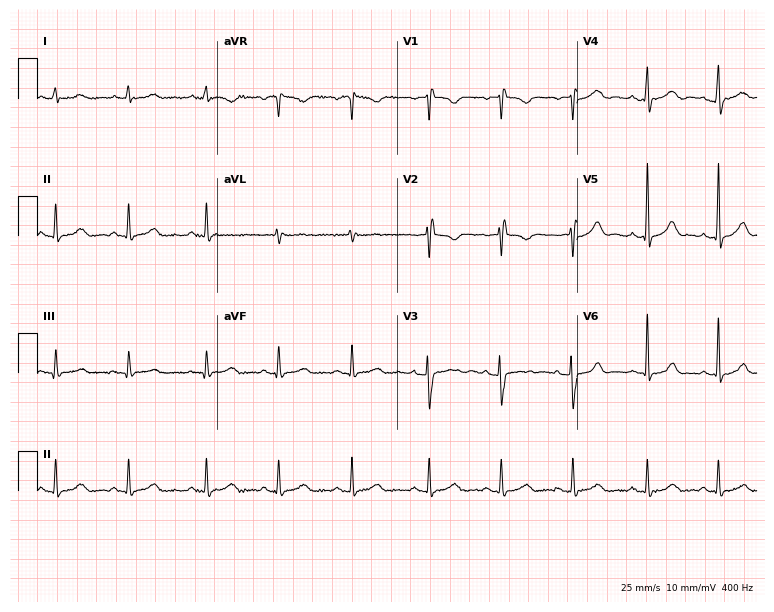
12-lead ECG from a woman, 18 years old. Labelled as a normal ECG.